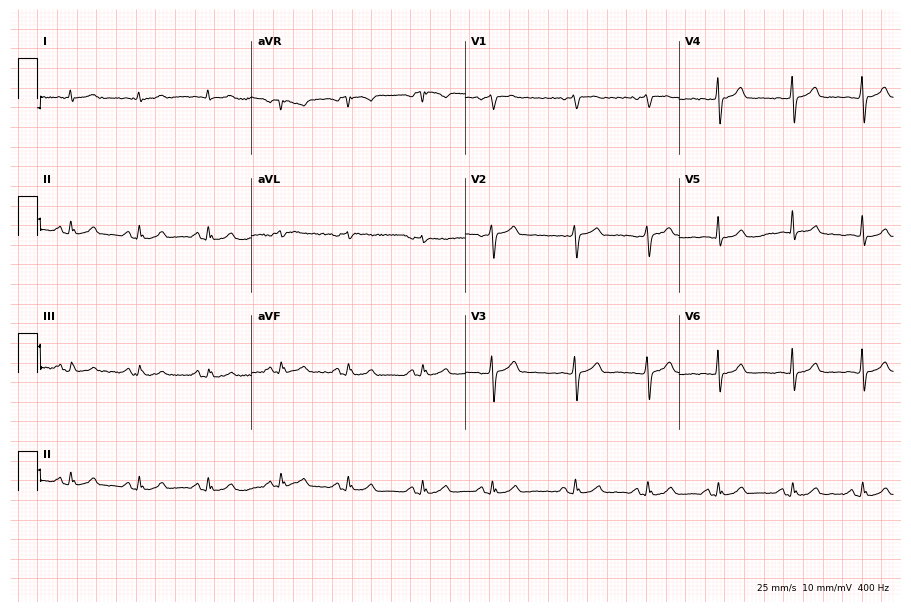
ECG (8.7-second recording at 400 Hz) — a 61-year-old male patient. Labelled as a normal ECG.